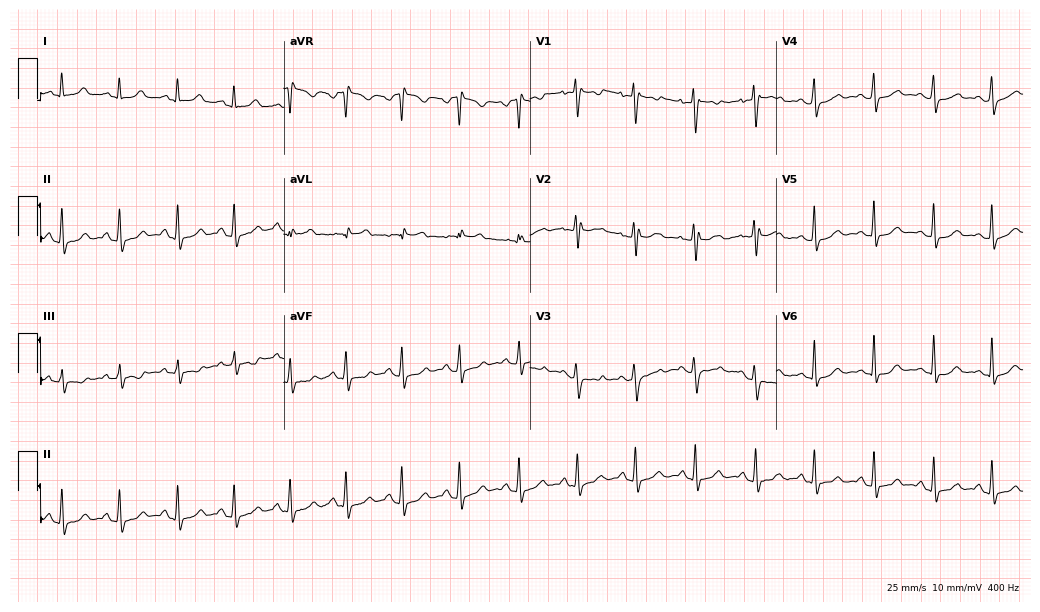
ECG — a female, 25 years old. Labelled as a normal ECG.